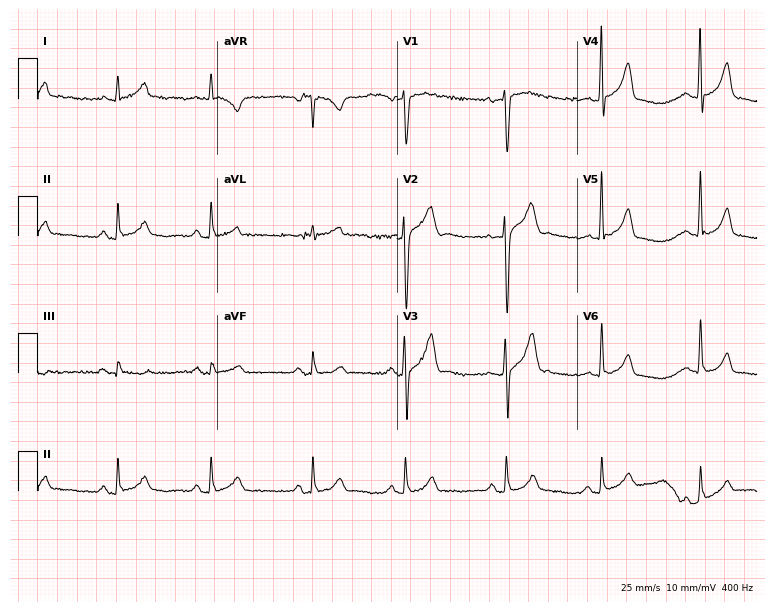
12-lead ECG from a 24-year-old male patient. Labelled as a normal ECG.